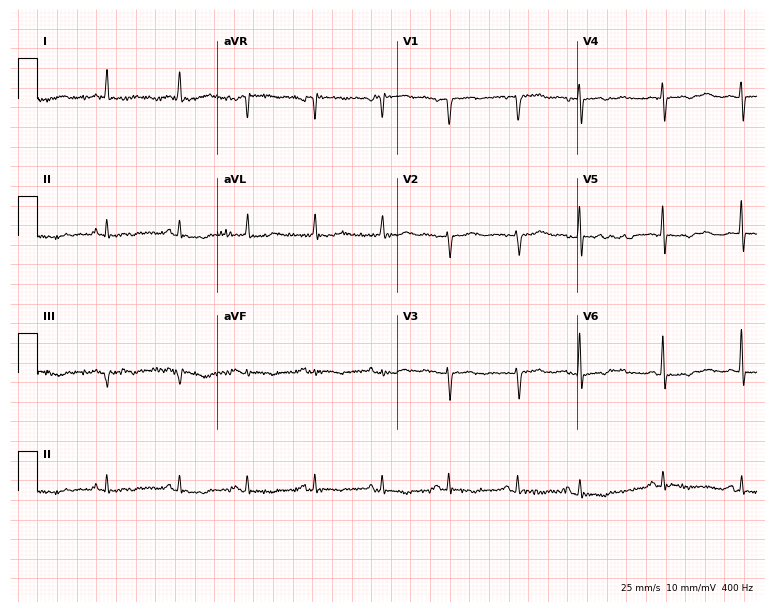
Standard 12-lead ECG recorded from a female, 81 years old. None of these six findings is recorded: first-degree AV block, right bundle branch block, left bundle branch block, sinus bradycardia, atrial fibrillation, sinus tachycardia. Findings outside these six are not listed.